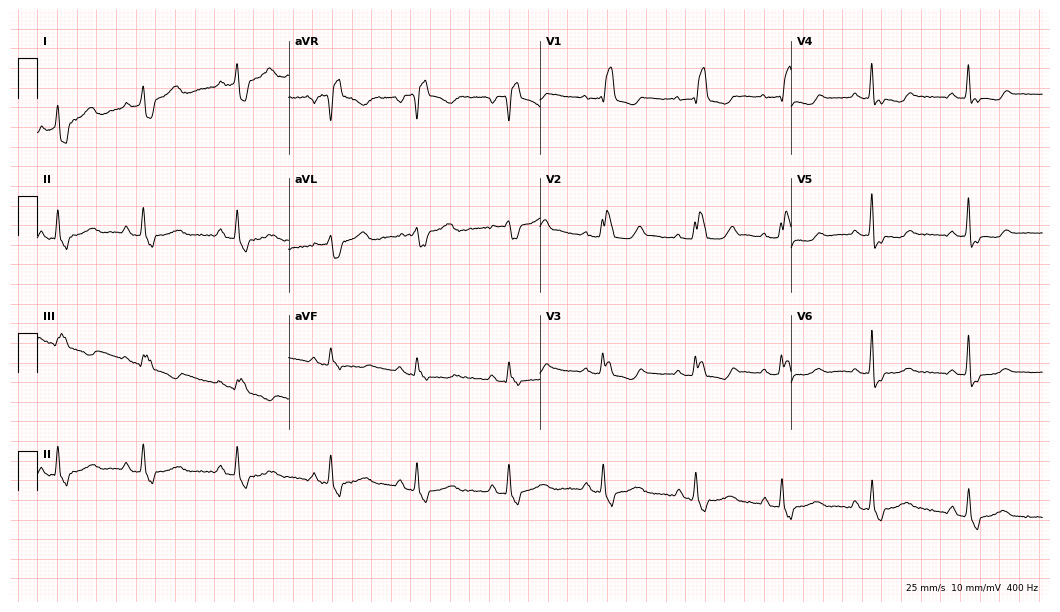
12-lead ECG from a female, 73 years old. Screened for six findings — first-degree AV block, right bundle branch block, left bundle branch block, sinus bradycardia, atrial fibrillation, sinus tachycardia — none is recorded.